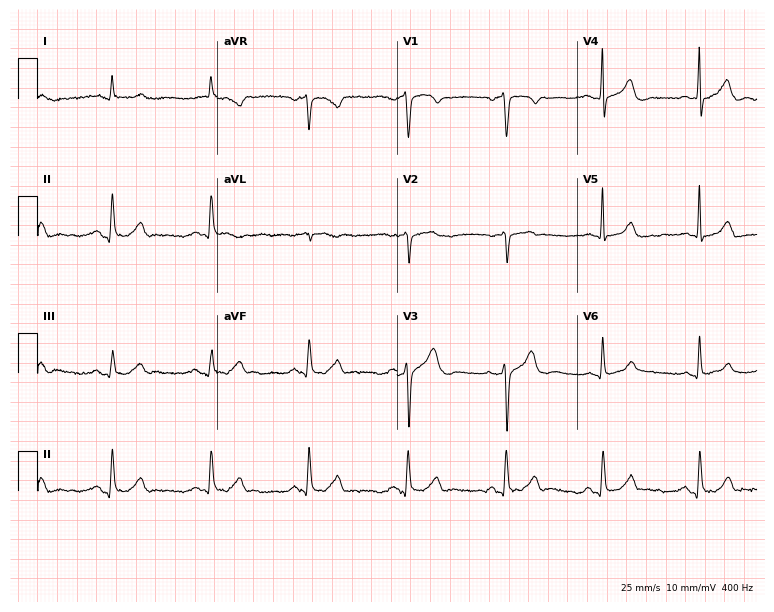
12-lead ECG from an 80-year-old male. Screened for six findings — first-degree AV block, right bundle branch block (RBBB), left bundle branch block (LBBB), sinus bradycardia, atrial fibrillation (AF), sinus tachycardia — none is recorded. Findings outside these six are not listed.